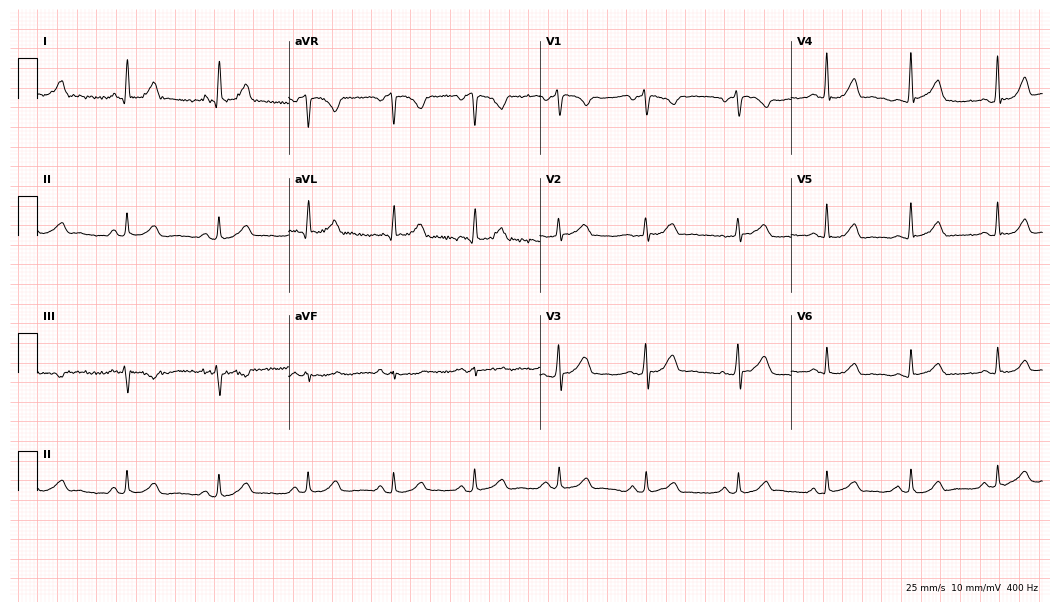
Electrocardiogram (10.2-second recording at 400 Hz), a woman, 51 years old. Overall reading on record: normal ECG.